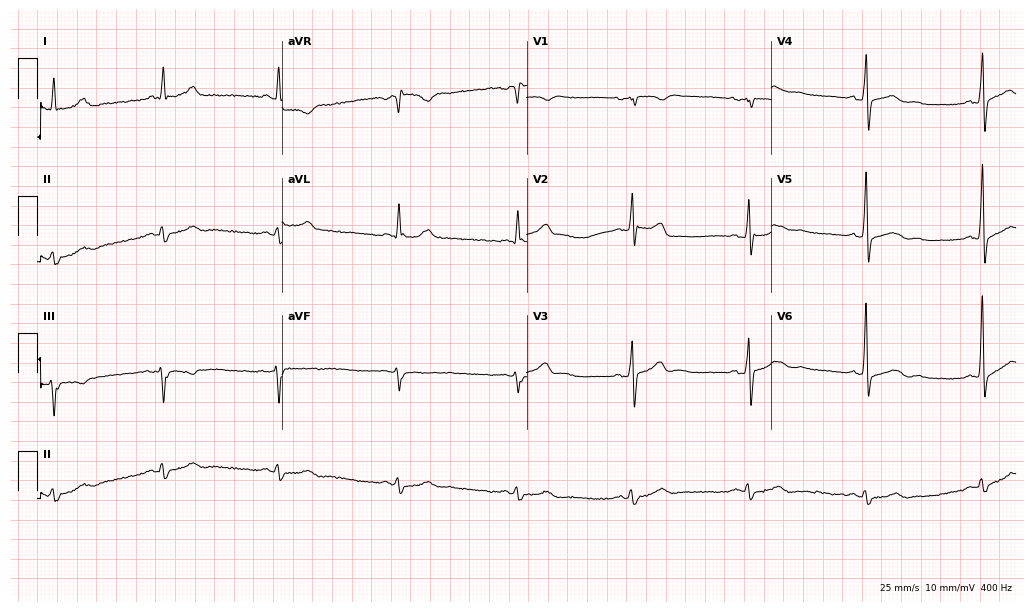
ECG — a 52-year-old male patient. Screened for six findings — first-degree AV block, right bundle branch block (RBBB), left bundle branch block (LBBB), sinus bradycardia, atrial fibrillation (AF), sinus tachycardia — none is recorded. Only these six findings were labelled.